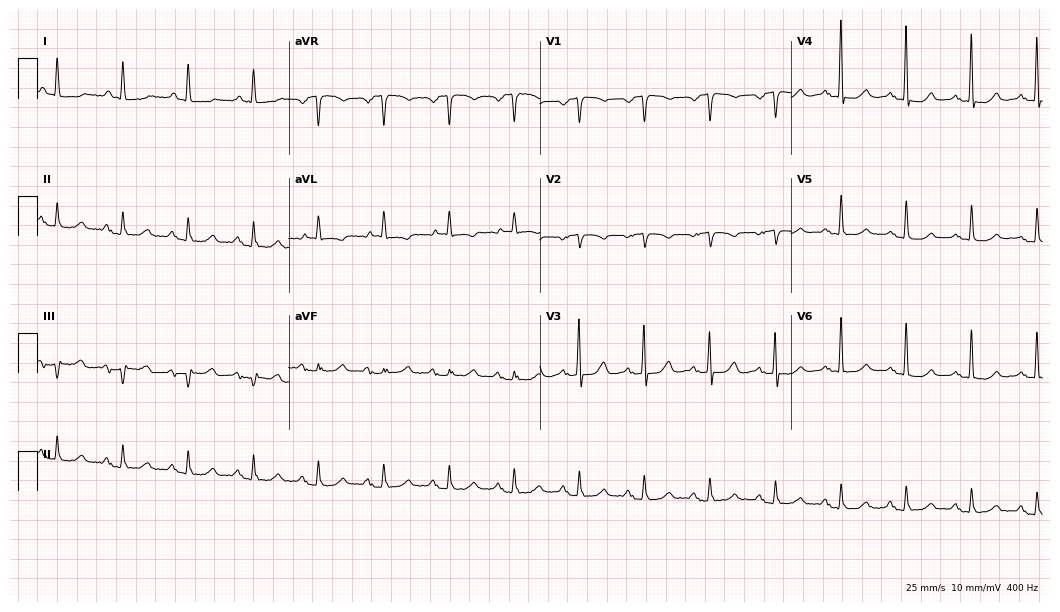
12-lead ECG from a female patient, 78 years old. Recorded interpretation: within normal limits.